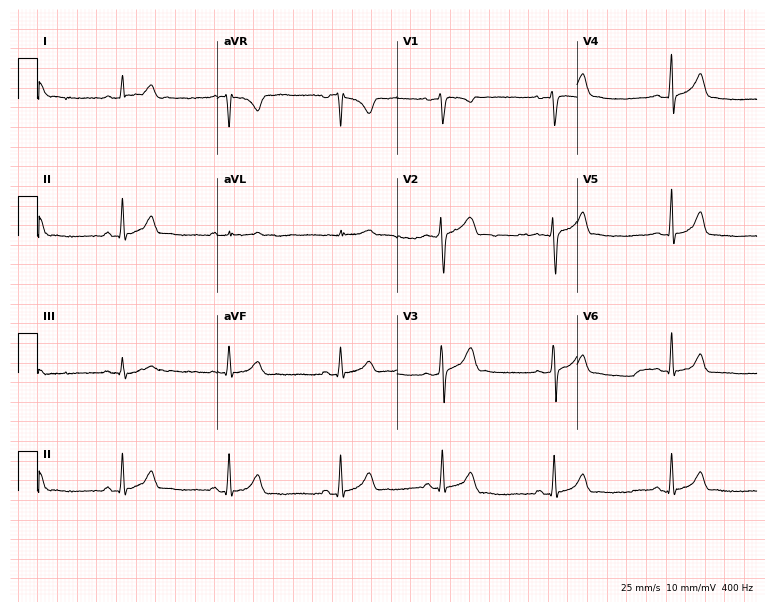
12-lead ECG from a 19-year-old male. Labelled as a normal ECG.